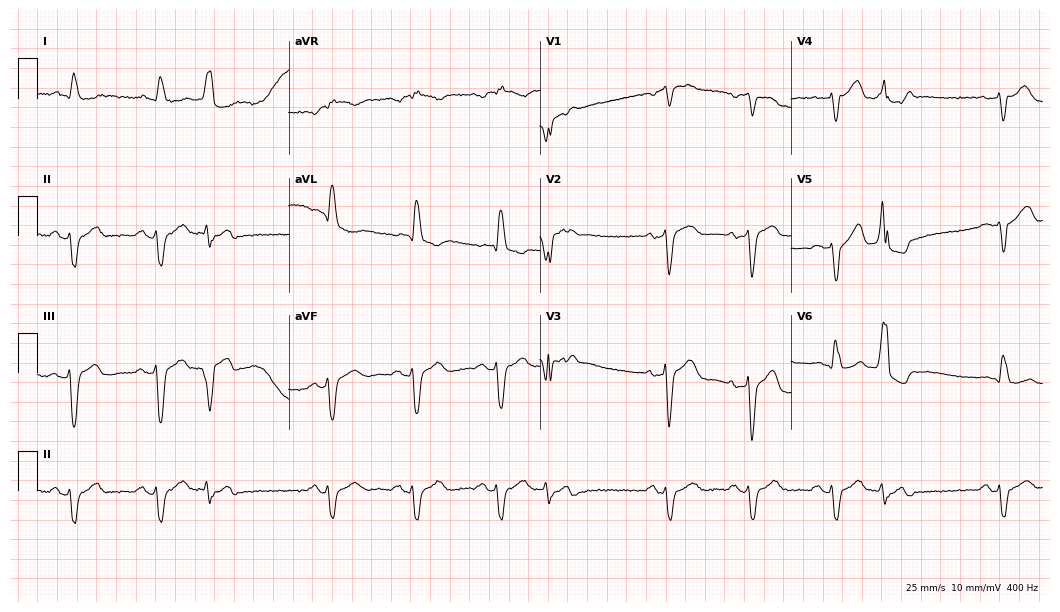
12-lead ECG from a male patient, 80 years old. Shows right bundle branch block (RBBB).